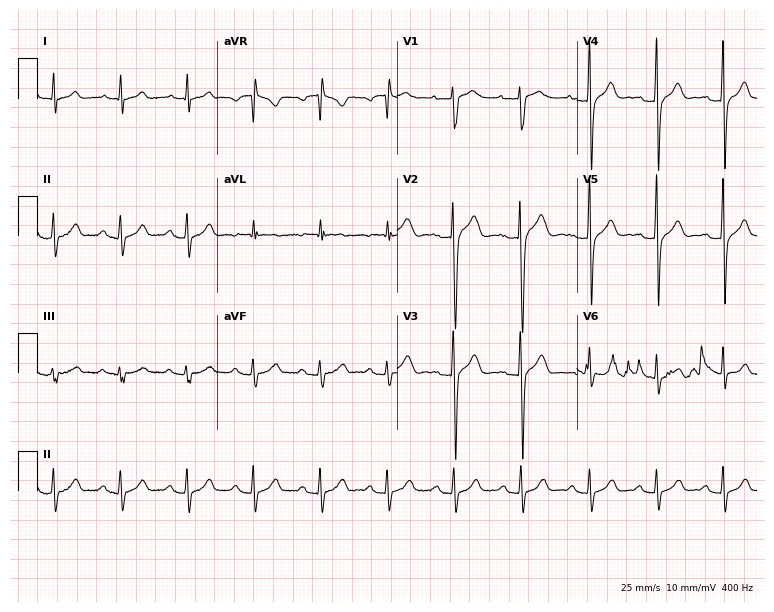
Resting 12-lead electrocardiogram (7.3-second recording at 400 Hz). Patient: a man, 19 years old. None of these six findings is recorded: first-degree AV block, right bundle branch block, left bundle branch block, sinus bradycardia, atrial fibrillation, sinus tachycardia. Only these six findings were labelled.